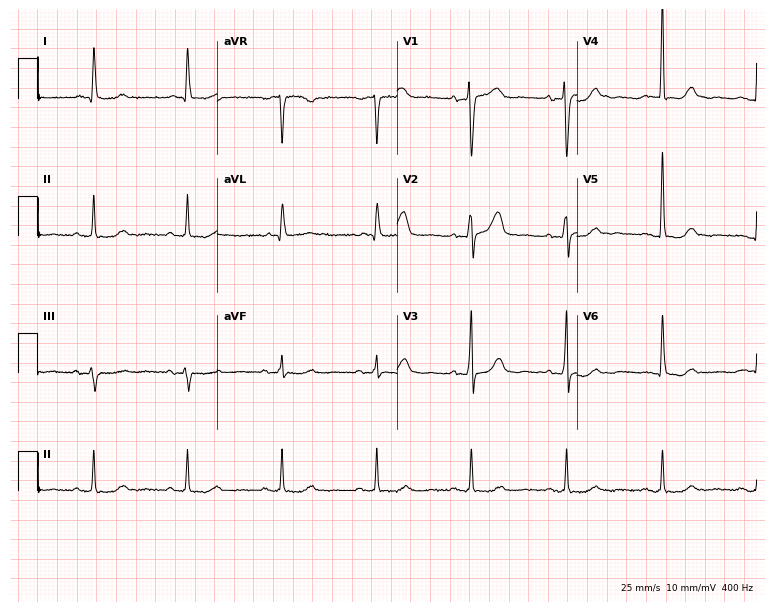
Electrocardiogram, a woman, 85 years old. Overall reading on record: normal ECG.